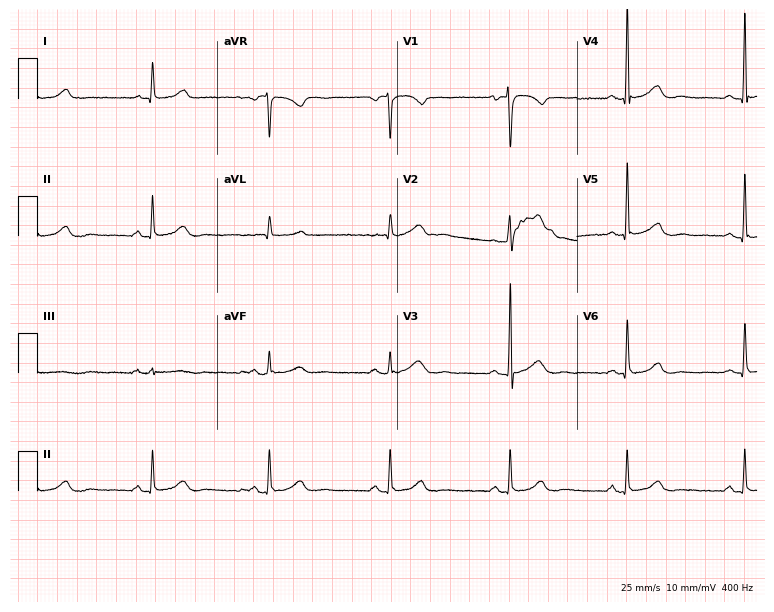
Standard 12-lead ECG recorded from a female patient, 75 years old (7.3-second recording at 400 Hz). The tracing shows sinus bradycardia (a sinus rate of 50 beats per minute or less).